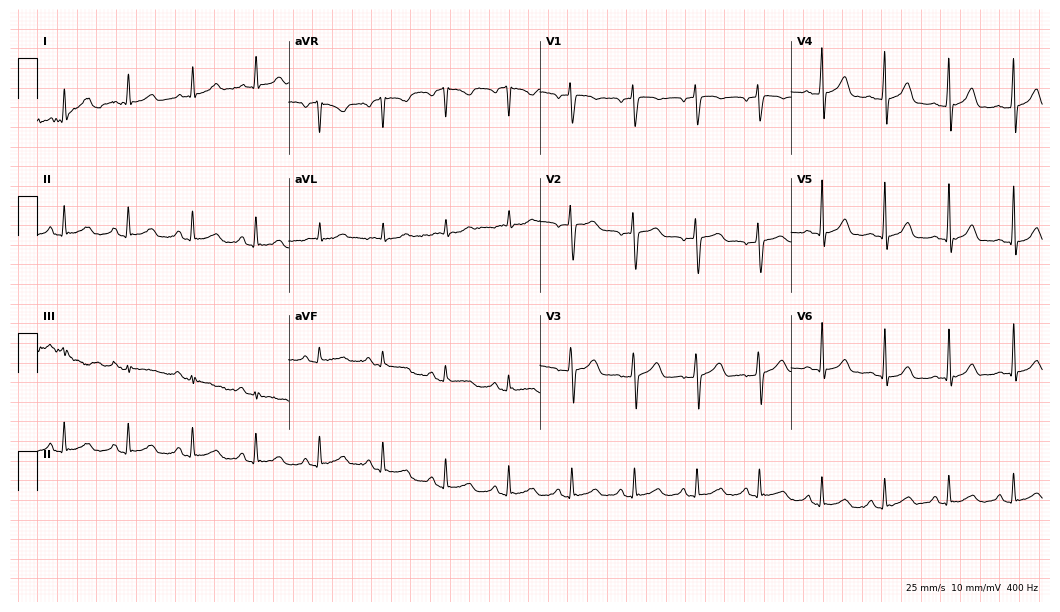
12-lead ECG from a 51-year-old woman. Labelled as a normal ECG.